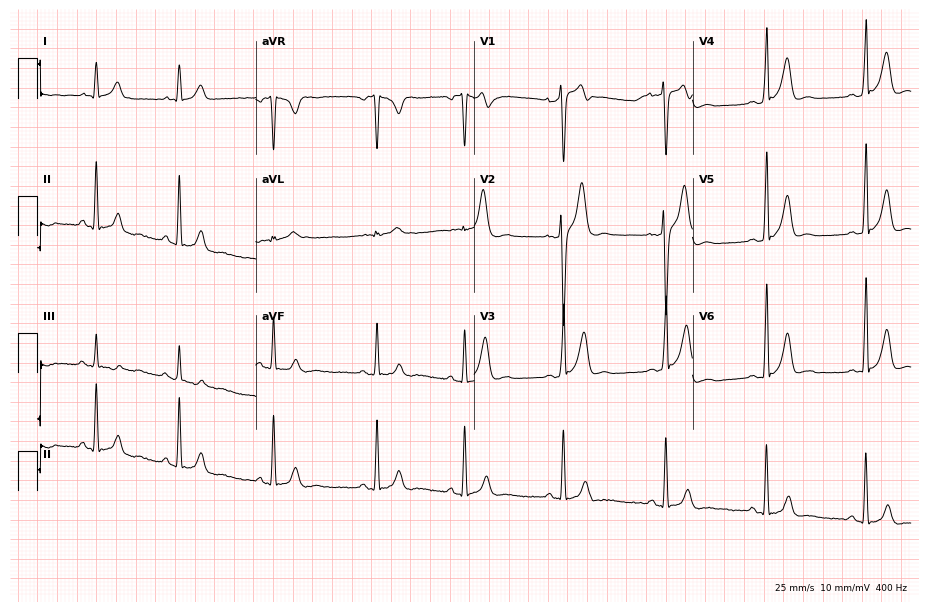
Electrocardiogram (8.9-second recording at 400 Hz), a 29-year-old man. Of the six screened findings (first-degree AV block, right bundle branch block (RBBB), left bundle branch block (LBBB), sinus bradycardia, atrial fibrillation (AF), sinus tachycardia), none is recorded.